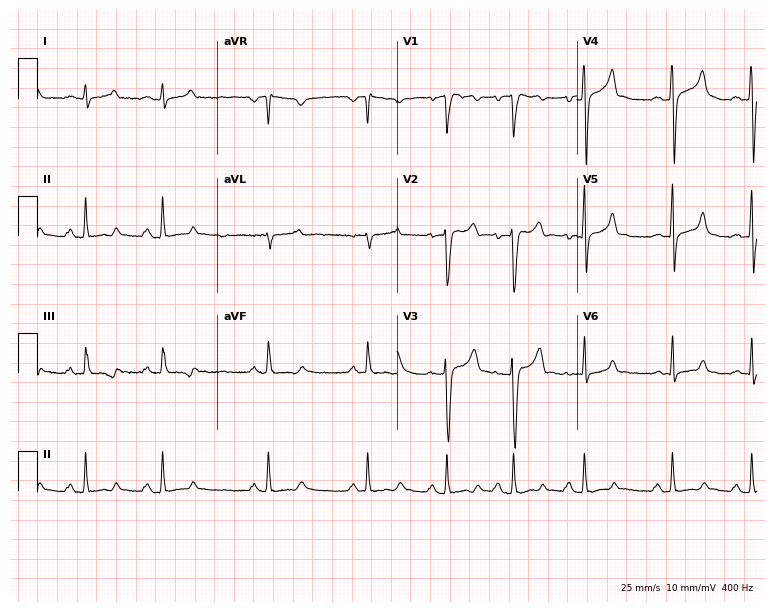
12-lead ECG from a man, 19 years old. Screened for six findings — first-degree AV block, right bundle branch block, left bundle branch block, sinus bradycardia, atrial fibrillation, sinus tachycardia — none is recorded. Only these six findings were labelled.